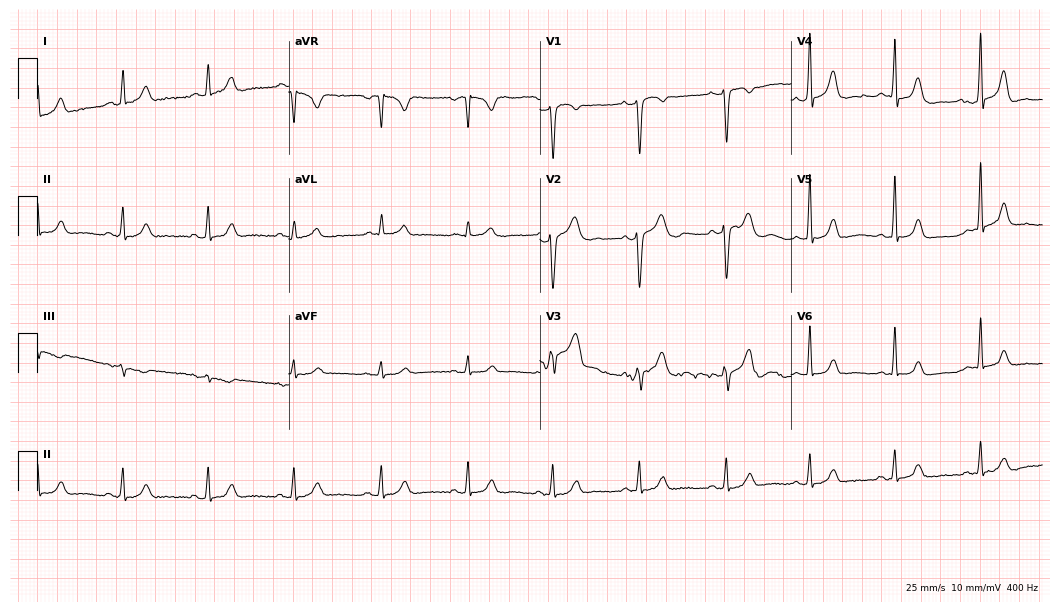
12-lead ECG (10.2-second recording at 400 Hz) from a 47-year-old woman. Labelled as a normal ECG.